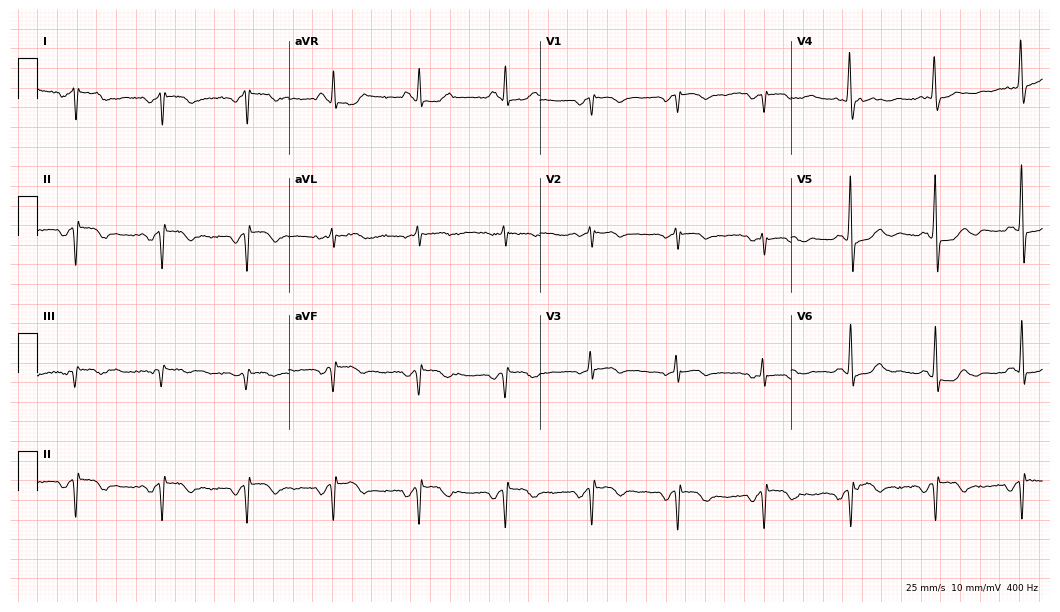
Standard 12-lead ECG recorded from an 84-year-old woman (10.2-second recording at 400 Hz). None of these six findings is recorded: first-degree AV block, right bundle branch block (RBBB), left bundle branch block (LBBB), sinus bradycardia, atrial fibrillation (AF), sinus tachycardia. Findings outside these six are not listed.